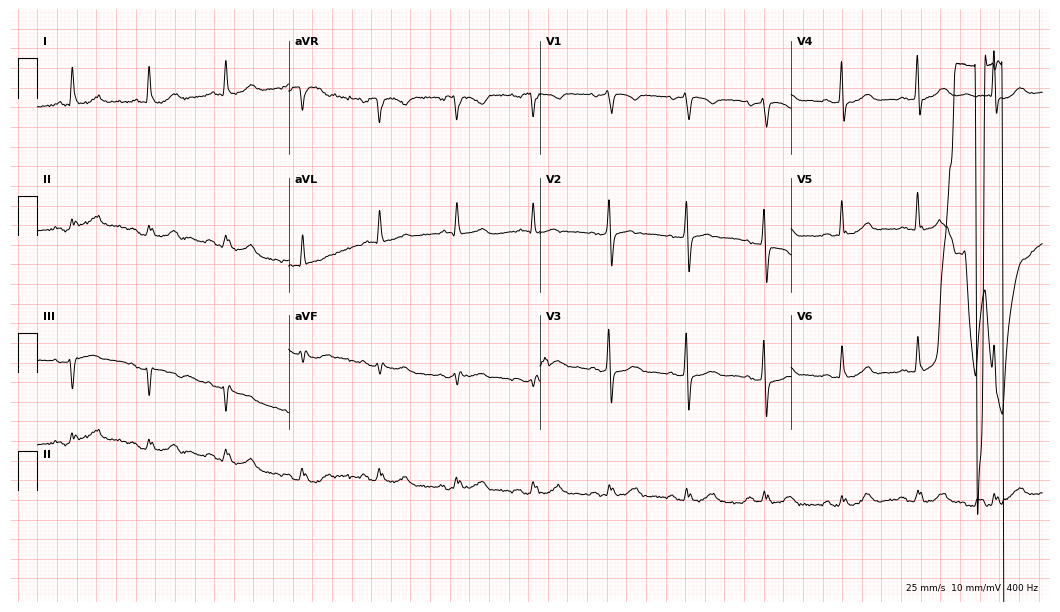
Electrocardiogram, a 62-year-old female. Of the six screened findings (first-degree AV block, right bundle branch block, left bundle branch block, sinus bradycardia, atrial fibrillation, sinus tachycardia), none is recorded. Other findings, if any, are not listed.